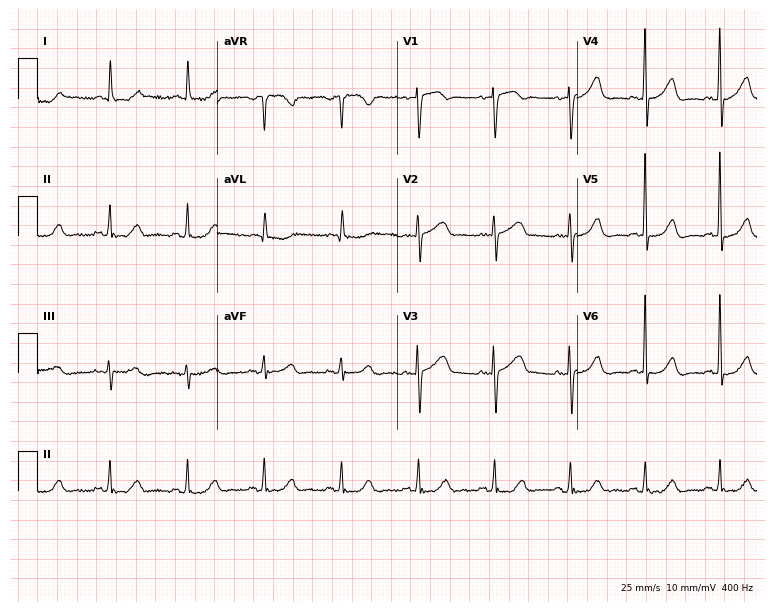
Resting 12-lead electrocardiogram. Patient: a female, 79 years old. None of these six findings is recorded: first-degree AV block, right bundle branch block (RBBB), left bundle branch block (LBBB), sinus bradycardia, atrial fibrillation (AF), sinus tachycardia.